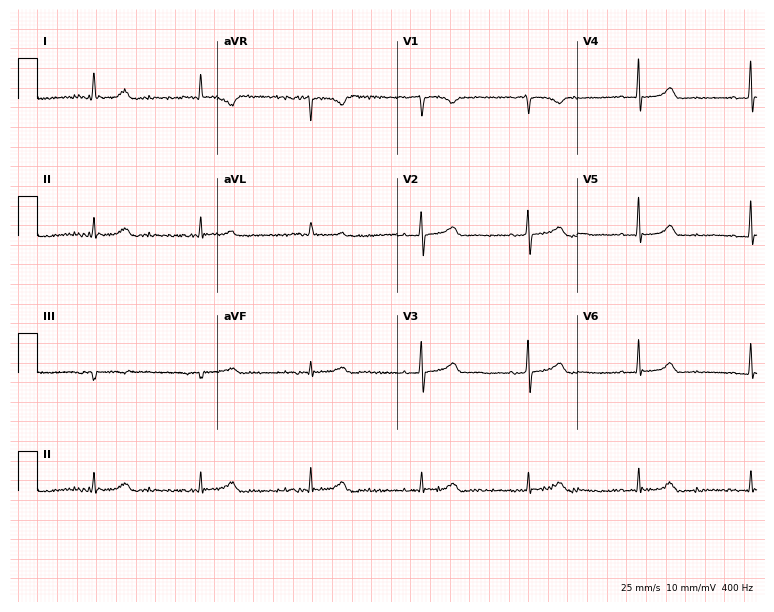
Electrocardiogram (7.3-second recording at 400 Hz), a female, 81 years old. Interpretation includes atrial fibrillation.